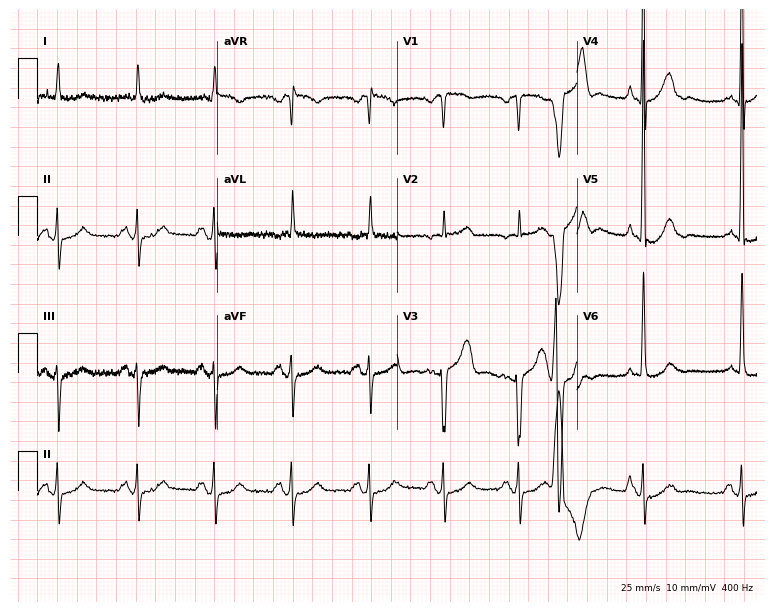
ECG — a man, 78 years old. Screened for six findings — first-degree AV block, right bundle branch block (RBBB), left bundle branch block (LBBB), sinus bradycardia, atrial fibrillation (AF), sinus tachycardia — none is recorded. Other findings, if any, are not listed.